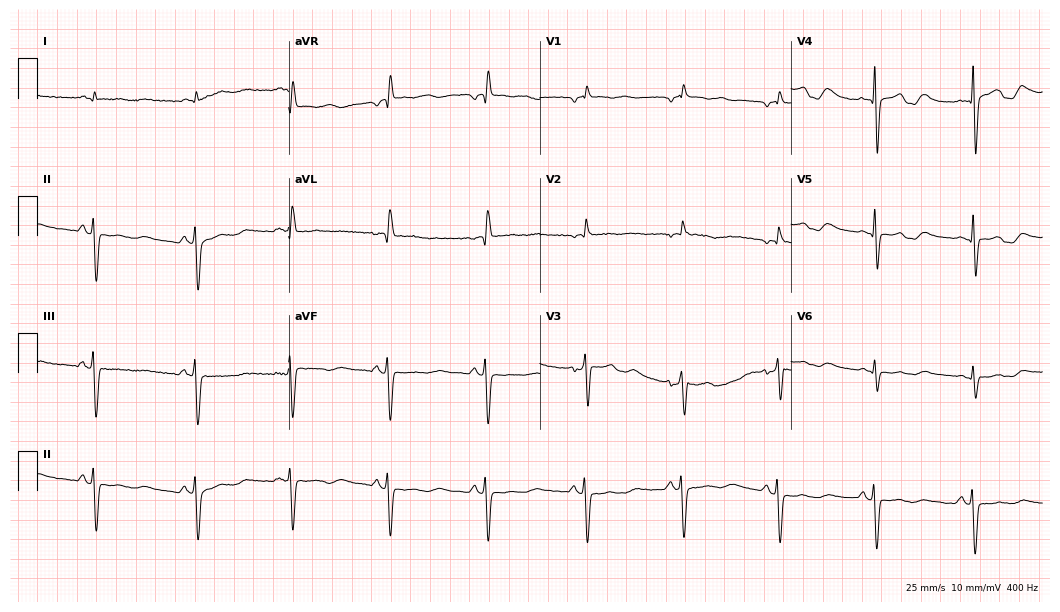
12-lead ECG from a 67-year-old male patient (10.2-second recording at 400 Hz). No first-degree AV block, right bundle branch block, left bundle branch block, sinus bradycardia, atrial fibrillation or sinus tachycardia recorded for this tracing.